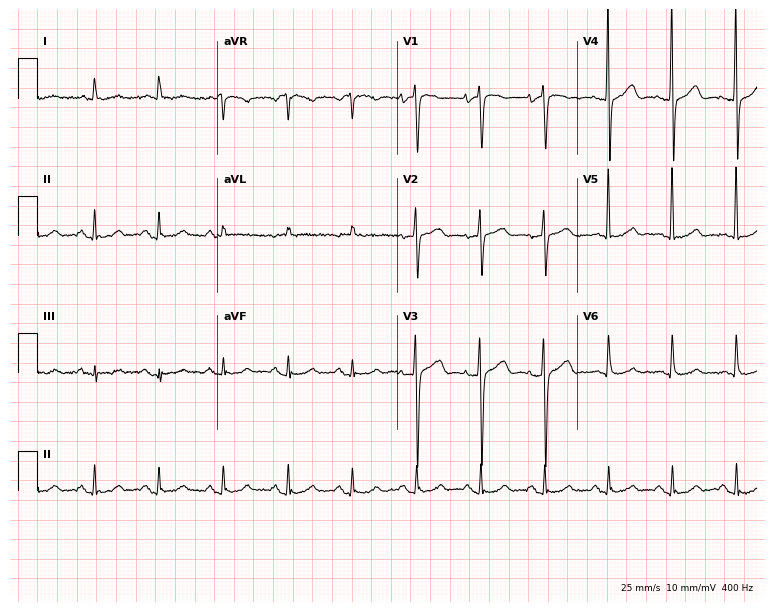
ECG — an 81-year-old male patient. Labelled as a normal ECG.